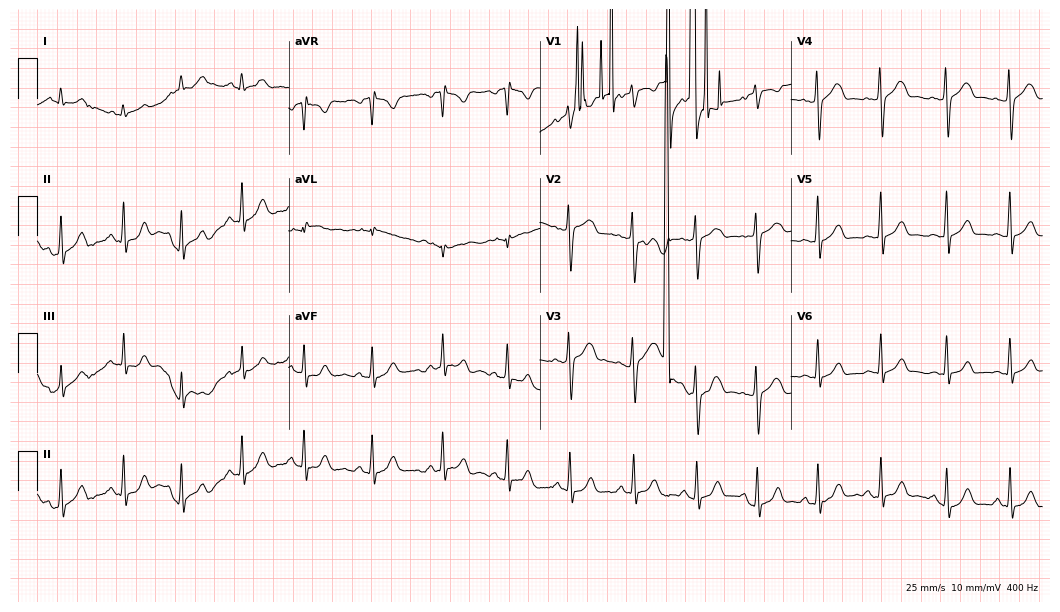
ECG (10.2-second recording at 400 Hz) — a female, 17 years old. Screened for six findings — first-degree AV block, right bundle branch block (RBBB), left bundle branch block (LBBB), sinus bradycardia, atrial fibrillation (AF), sinus tachycardia — none is recorded.